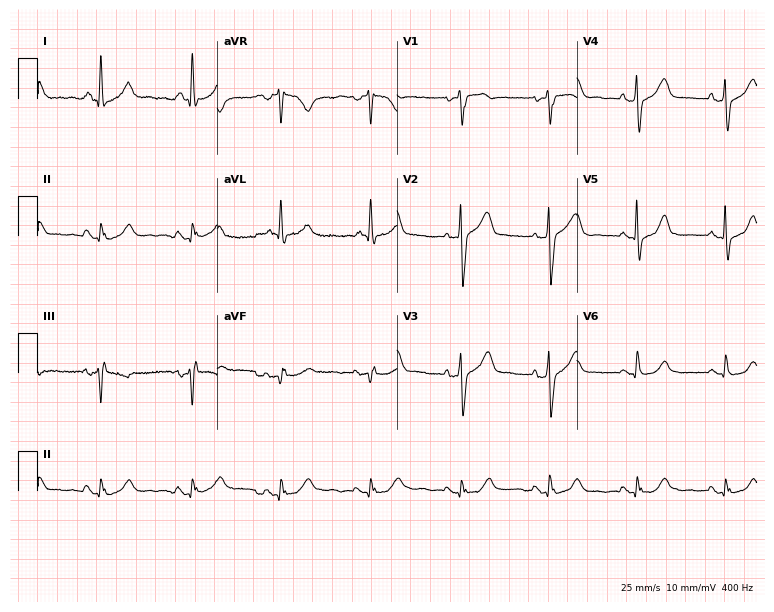
Electrocardiogram (7.3-second recording at 400 Hz), a woman, 69 years old. Of the six screened findings (first-degree AV block, right bundle branch block, left bundle branch block, sinus bradycardia, atrial fibrillation, sinus tachycardia), none is recorded.